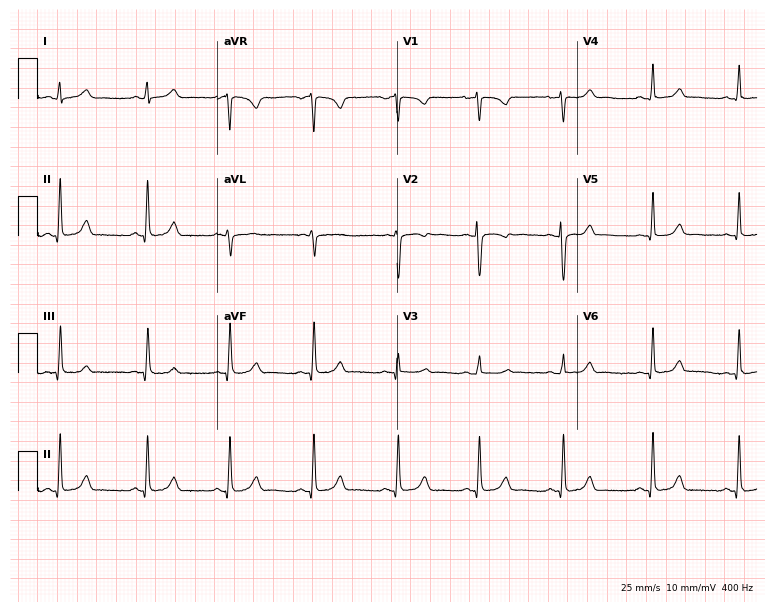
12-lead ECG from a woman, 21 years old. Recorded interpretation: within normal limits.